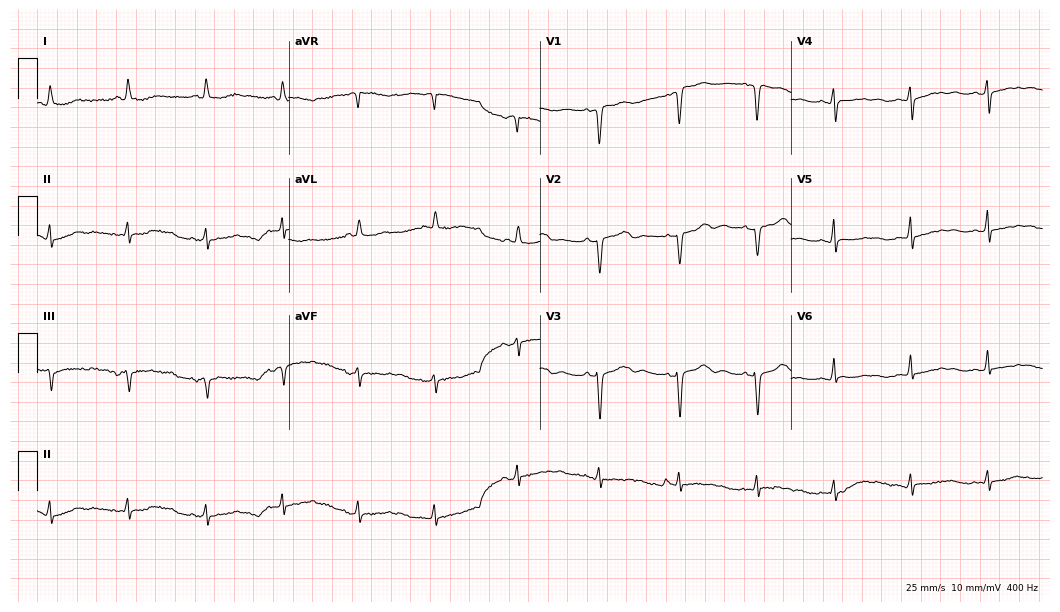
12-lead ECG from a female, 67 years old. Screened for six findings — first-degree AV block, right bundle branch block, left bundle branch block, sinus bradycardia, atrial fibrillation, sinus tachycardia — none is recorded. Findings outside these six are not listed.